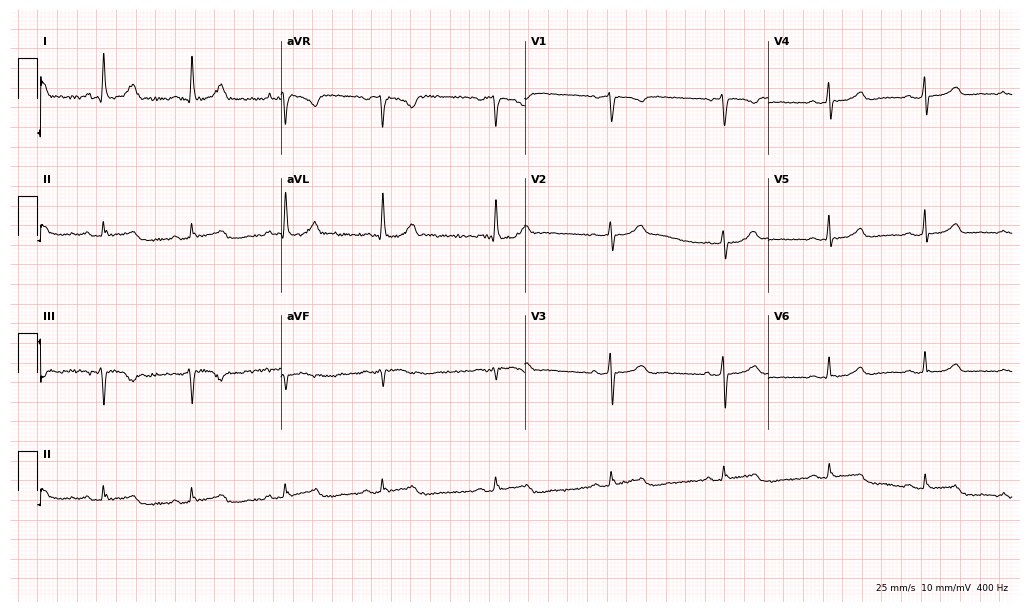
12-lead ECG (9.9-second recording at 400 Hz) from a 62-year-old woman. Labelled as a normal ECG.